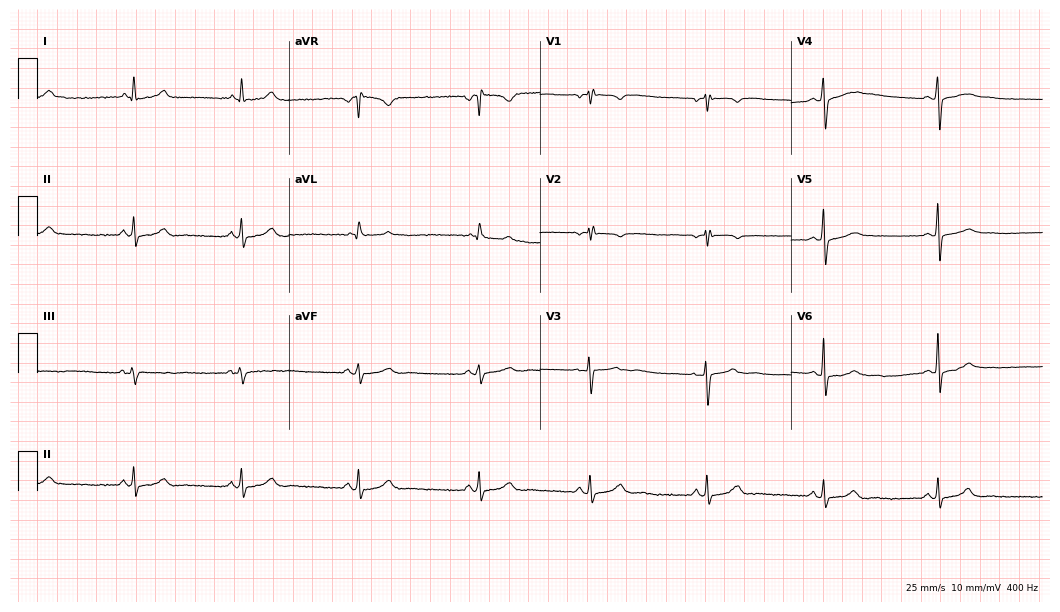
Standard 12-lead ECG recorded from a 19-year-old female patient. None of these six findings is recorded: first-degree AV block, right bundle branch block, left bundle branch block, sinus bradycardia, atrial fibrillation, sinus tachycardia.